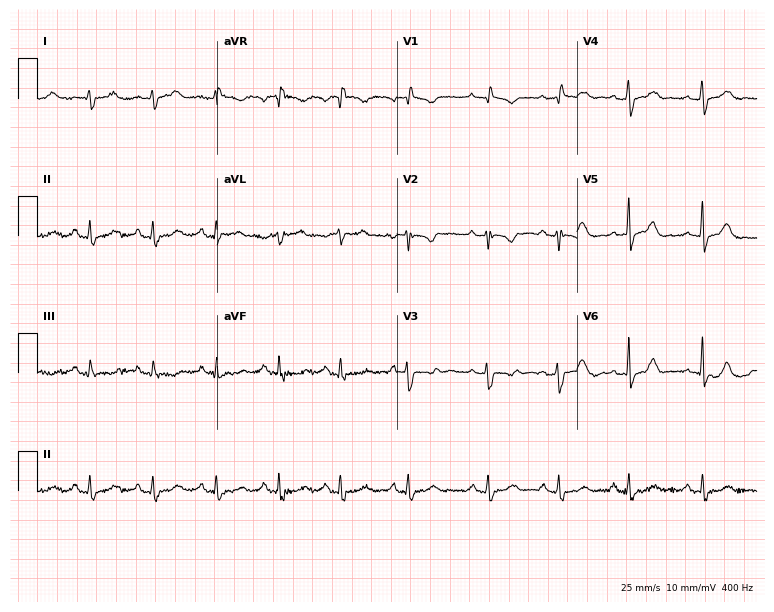
12-lead ECG from a 30-year-old woman. No first-degree AV block, right bundle branch block (RBBB), left bundle branch block (LBBB), sinus bradycardia, atrial fibrillation (AF) or sinus tachycardia recorded for this tracing.